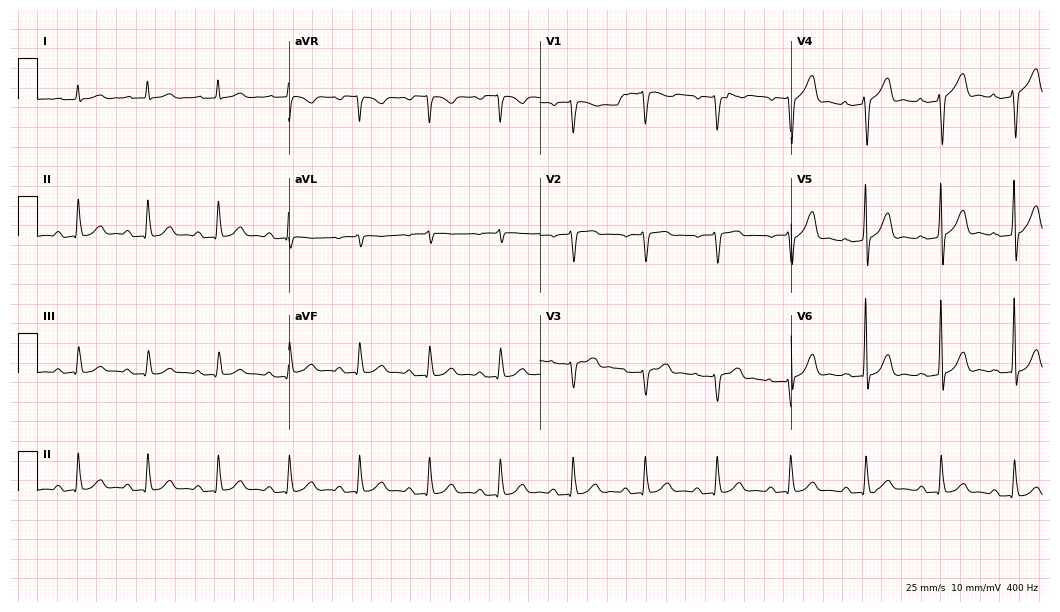
12-lead ECG (10.2-second recording at 400 Hz) from a man, 84 years old. Labelled as a normal ECG.